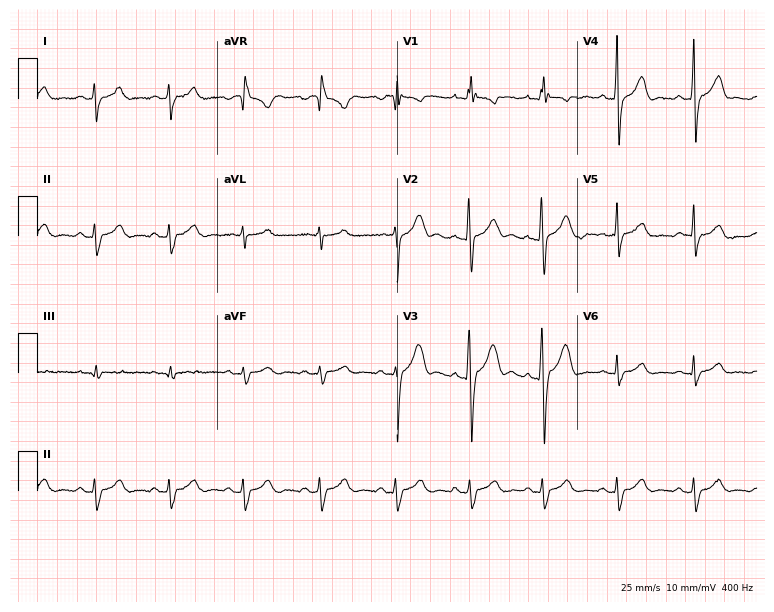
12-lead ECG from a male, 19 years old. Screened for six findings — first-degree AV block, right bundle branch block, left bundle branch block, sinus bradycardia, atrial fibrillation, sinus tachycardia — none is recorded. Other findings, if any, are not listed.